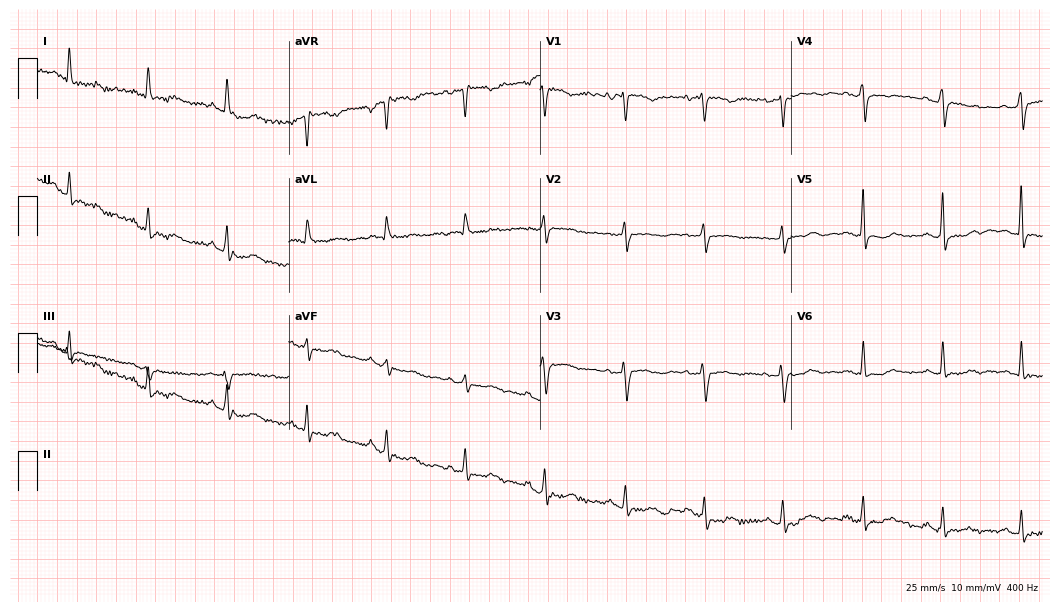
Resting 12-lead electrocardiogram. Patient: a 58-year-old woman. None of these six findings is recorded: first-degree AV block, right bundle branch block, left bundle branch block, sinus bradycardia, atrial fibrillation, sinus tachycardia.